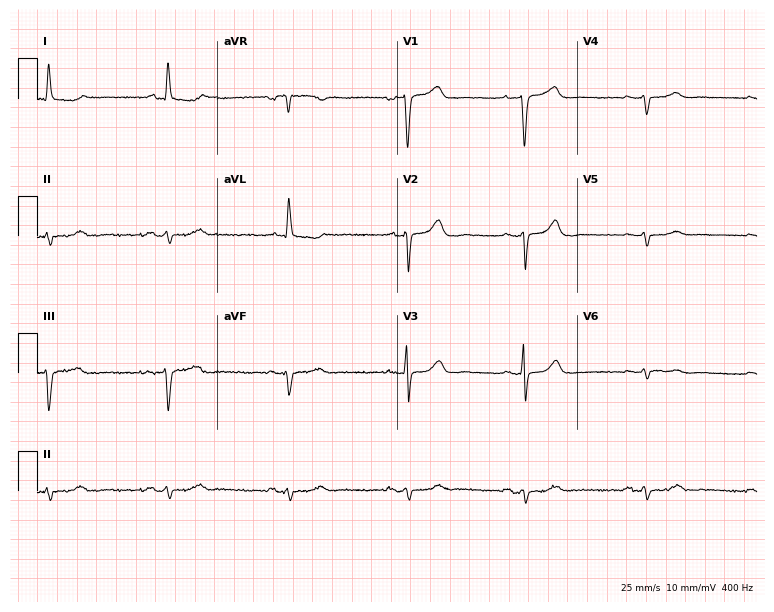
Standard 12-lead ECG recorded from a 67-year-old female patient (7.3-second recording at 400 Hz). The tracing shows sinus bradycardia (a sinus rate of 50 beats per minute or less).